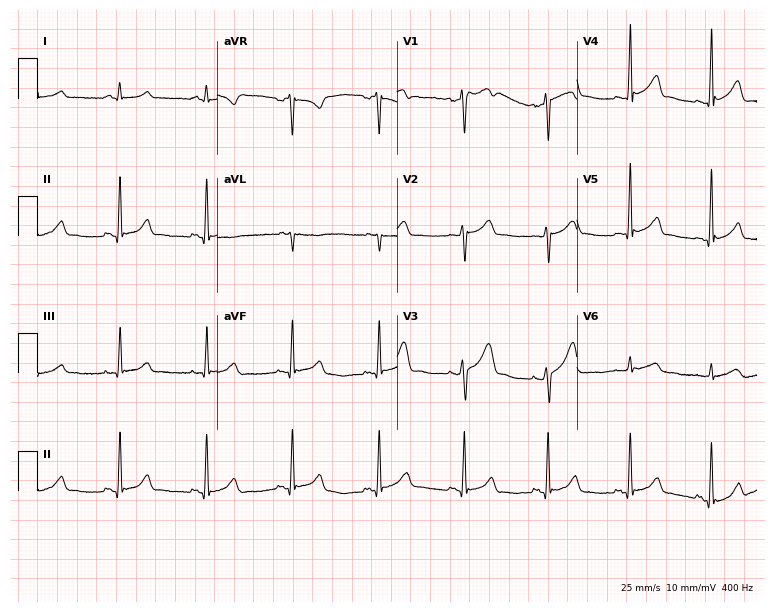
Resting 12-lead electrocardiogram (7.3-second recording at 400 Hz). Patient: a 59-year-old man. Read as a normal ECG.